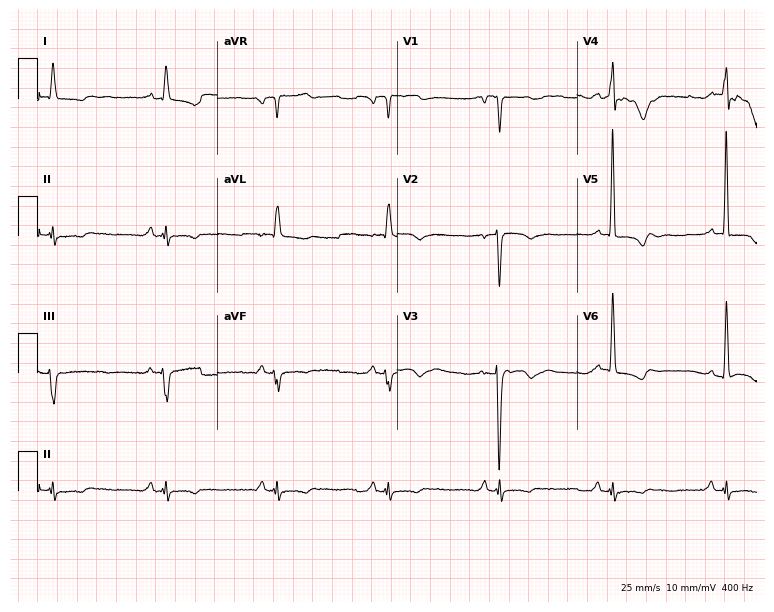
Electrocardiogram, a man, 47 years old. Of the six screened findings (first-degree AV block, right bundle branch block, left bundle branch block, sinus bradycardia, atrial fibrillation, sinus tachycardia), none is recorded.